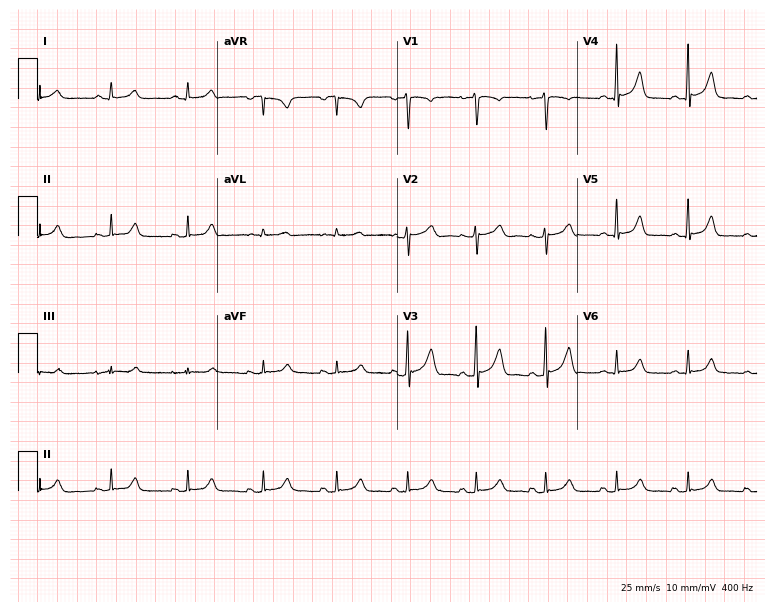
Electrocardiogram (7.3-second recording at 400 Hz), a female, 42 years old. Of the six screened findings (first-degree AV block, right bundle branch block, left bundle branch block, sinus bradycardia, atrial fibrillation, sinus tachycardia), none is recorded. Only these six findings were labelled.